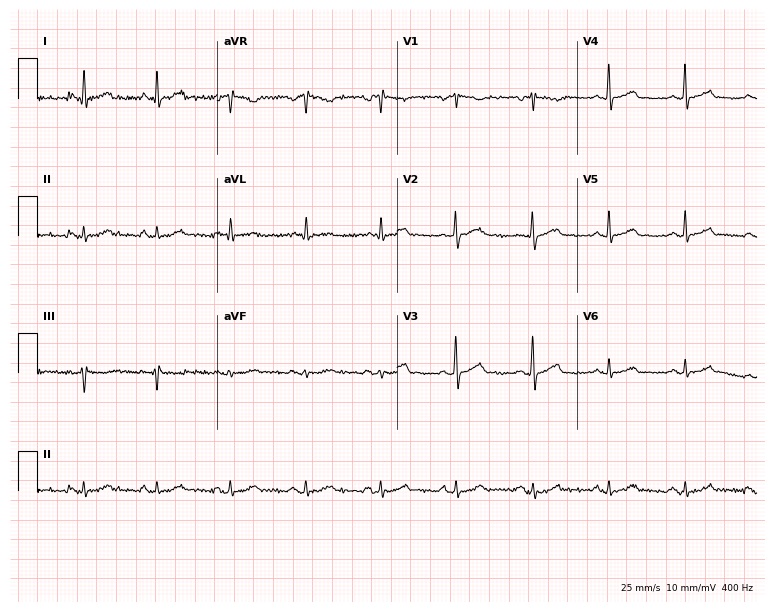
Resting 12-lead electrocardiogram (7.3-second recording at 400 Hz). Patient: a 54-year-old male. Read as a normal ECG.